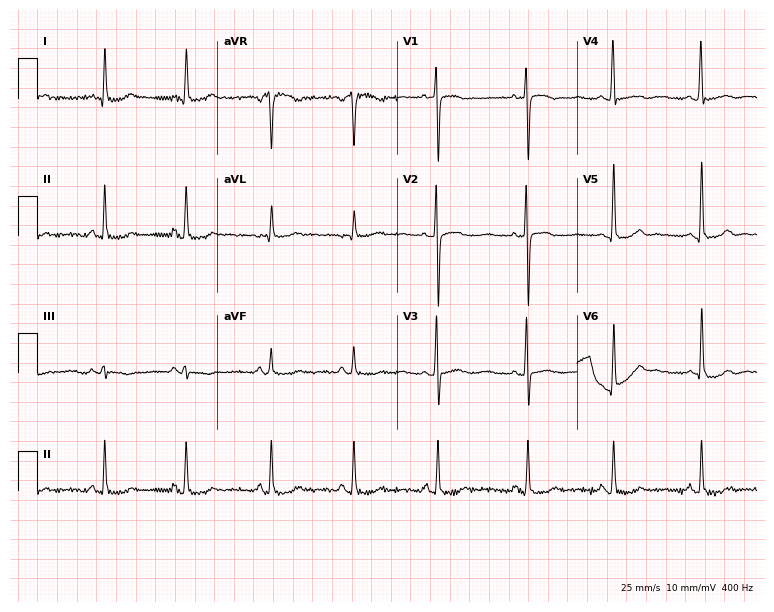
12-lead ECG from a 37-year-old woman (7.3-second recording at 400 Hz). No first-degree AV block, right bundle branch block, left bundle branch block, sinus bradycardia, atrial fibrillation or sinus tachycardia recorded for this tracing. Other findings, if any, are not listed.